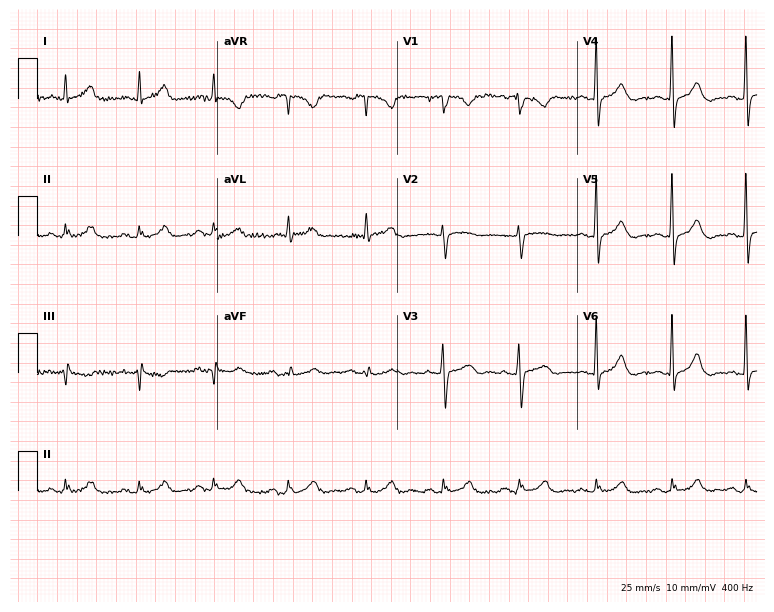
Resting 12-lead electrocardiogram (7.3-second recording at 400 Hz). Patient: a 60-year-old male. Read as a normal ECG.